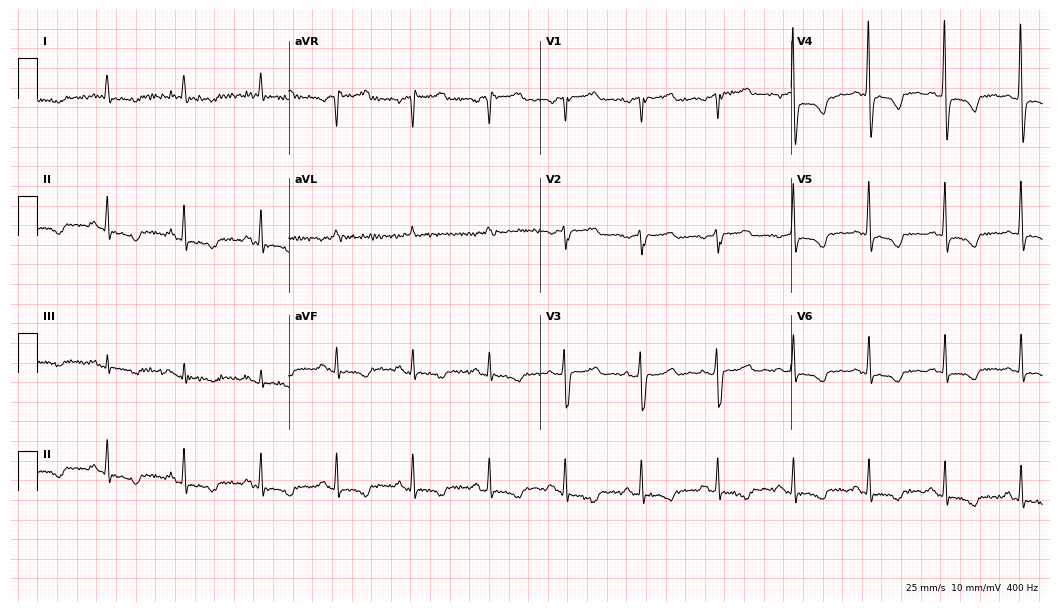
Electrocardiogram (10.2-second recording at 400 Hz), a 64-year-old male. Of the six screened findings (first-degree AV block, right bundle branch block (RBBB), left bundle branch block (LBBB), sinus bradycardia, atrial fibrillation (AF), sinus tachycardia), none is recorded.